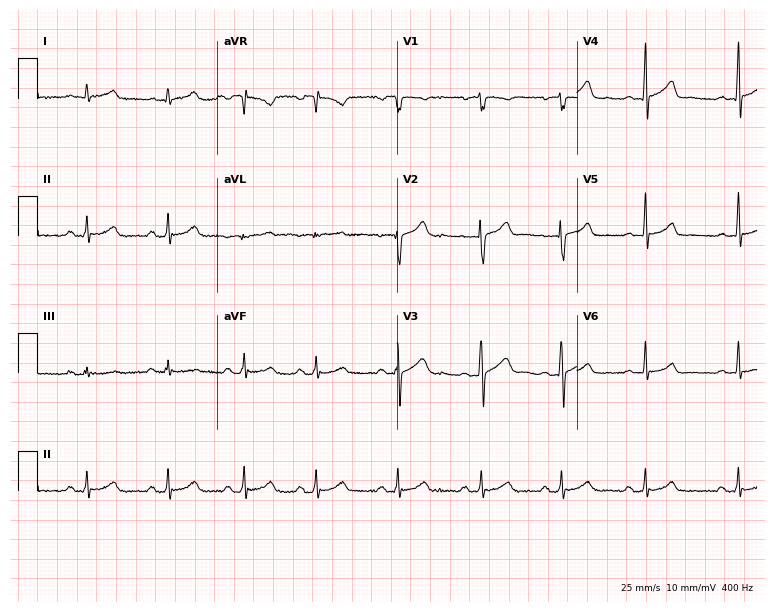
12-lead ECG (7.3-second recording at 400 Hz) from a male patient, 38 years old. Labelled as a normal ECG.